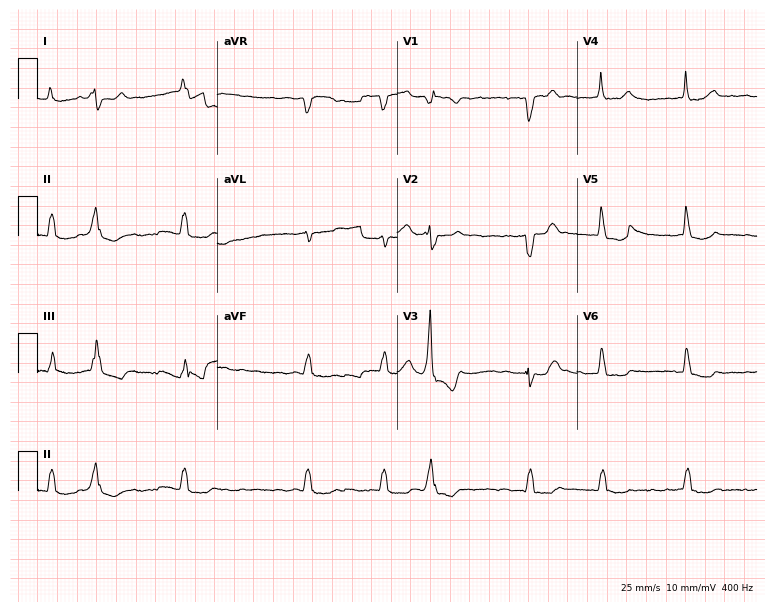
Resting 12-lead electrocardiogram. Patient: a male, 74 years old. The tracing shows atrial fibrillation (AF).